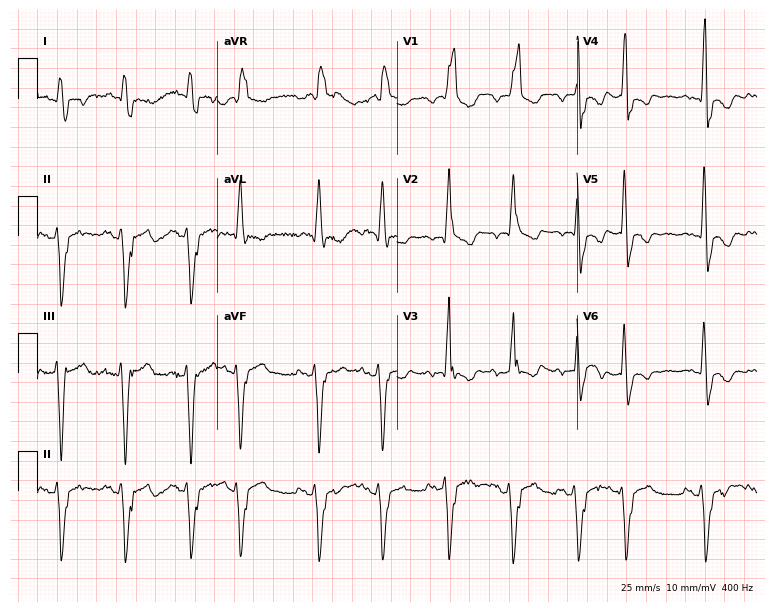
12-lead ECG (7.3-second recording at 400 Hz) from a male, 60 years old. Findings include right bundle branch block.